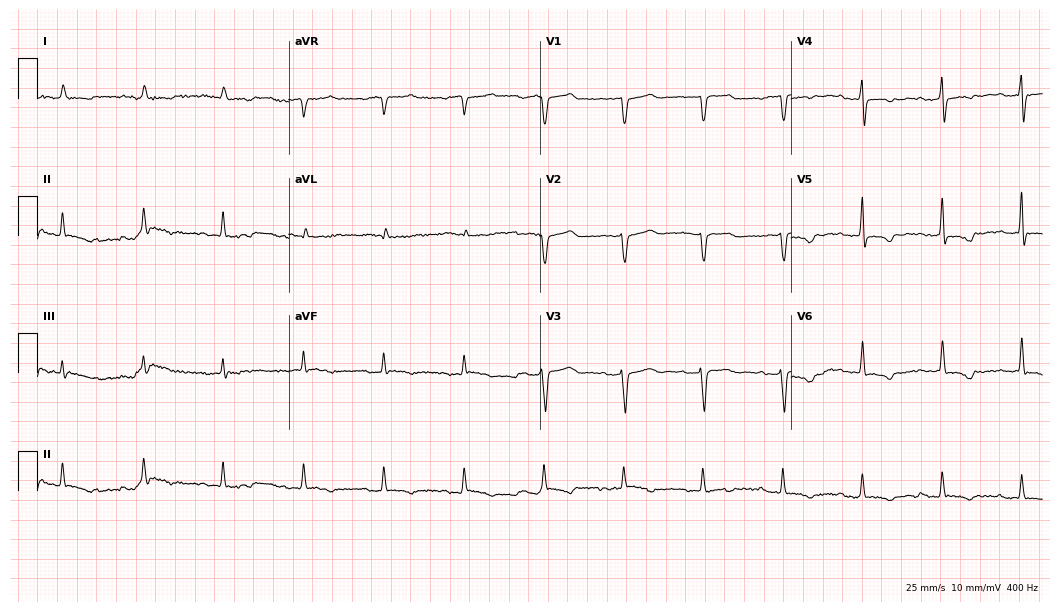
12-lead ECG from an 84-year-old woman. Findings include first-degree AV block.